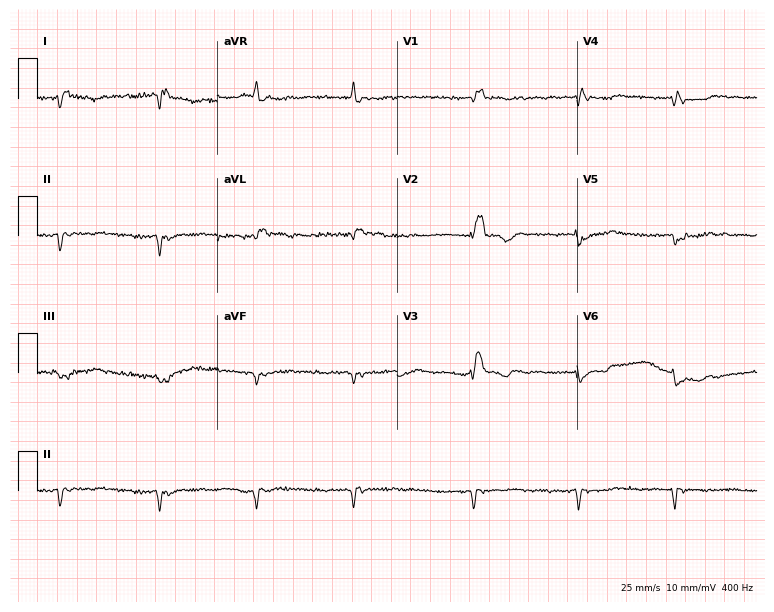
Standard 12-lead ECG recorded from an 80-year-old man (7.3-second recording at 400 Hz). None of these six findings is recorded: first-degree AV block, right bundle branch block, left bundle branch block, sinus bradycardia, atrial fibrillation, sinus tachycardia.